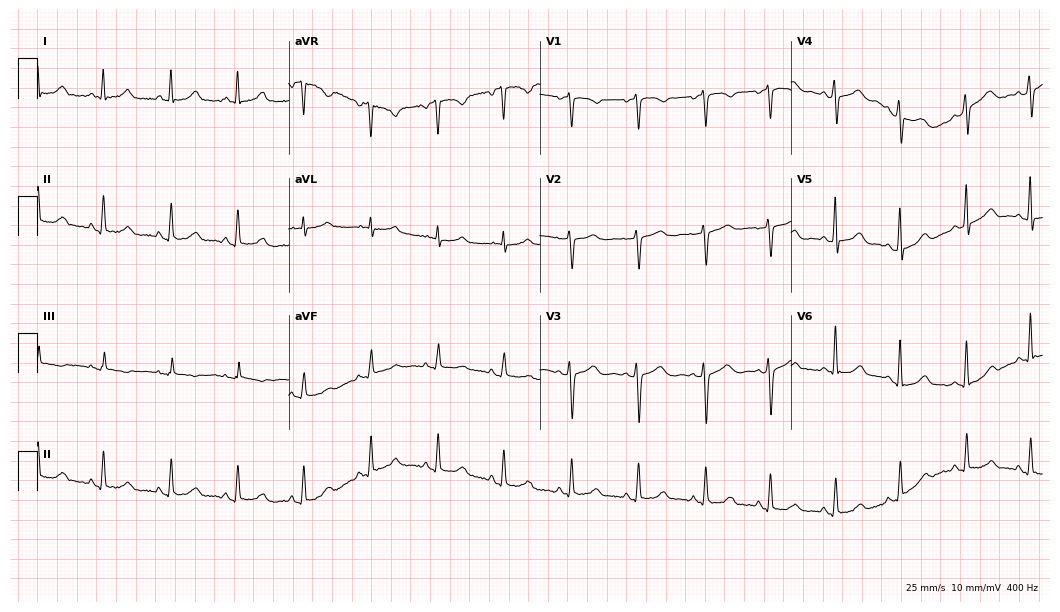
Resting 12-lead electrocardiogram. Patient: a female, 56 years old. Read as a normal ECG.